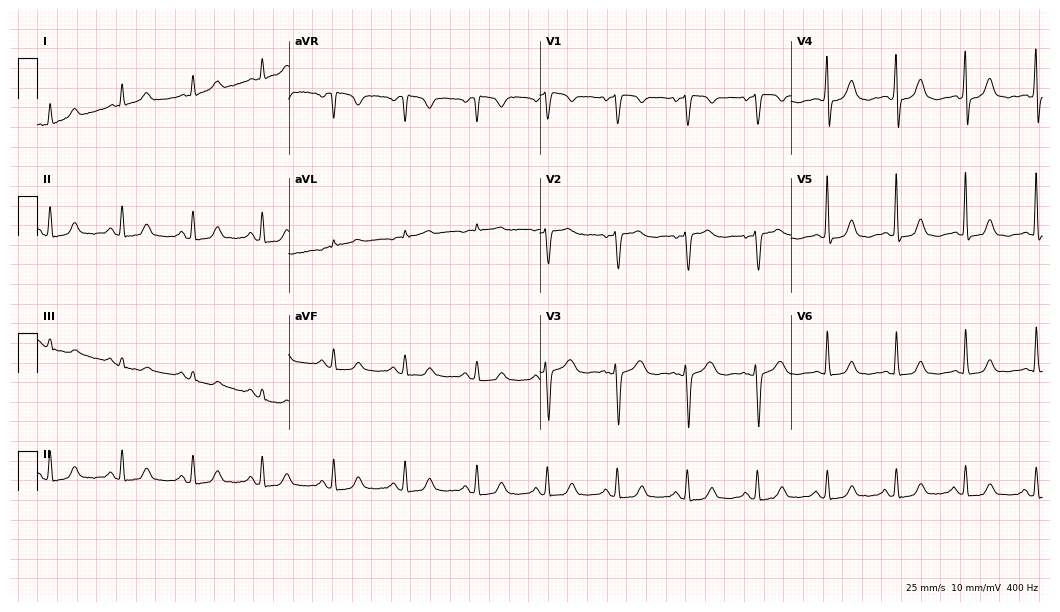
12-lead ECG (10.2-second recording at 400 Hz) from a 62-year-old woman. Labelled as a normal ECG.